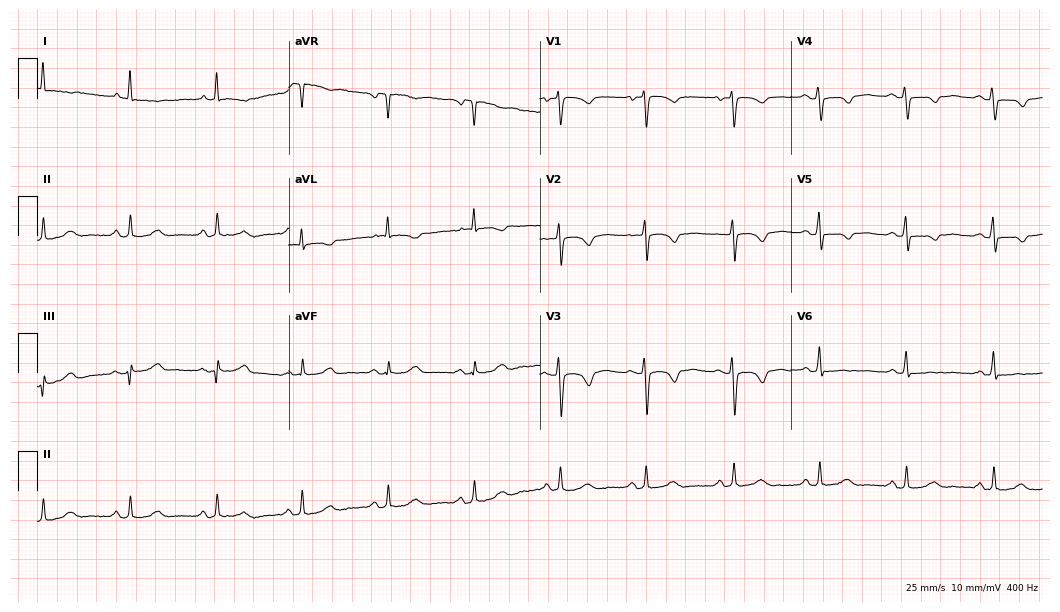
Standard 12-lead ECG recorded from a woman, 63 years old (10.2-second recording at 400 Hz). None of these six findings is recorded: first-degree AV block, right bundle branch block (RBBB), left bundle branch block (LBBB), sinus bradycardia, atrial fibrillation (AF), sinus tachycardia. Findings outside these six are not listed.